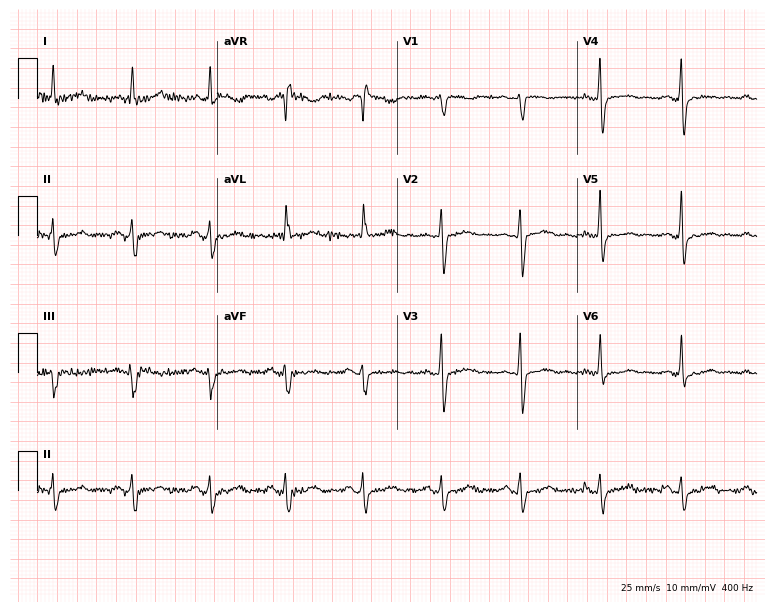
12-lead ECG from a 51-year-old woman (7.3-second recording at 400 Hz). No first-degree AV block, right bundle branch block, left bundle branch block, sinus bradycardia, atrial fibrillation or sinus tachycardia recorded for this tracing. Only these six findings were labelled.